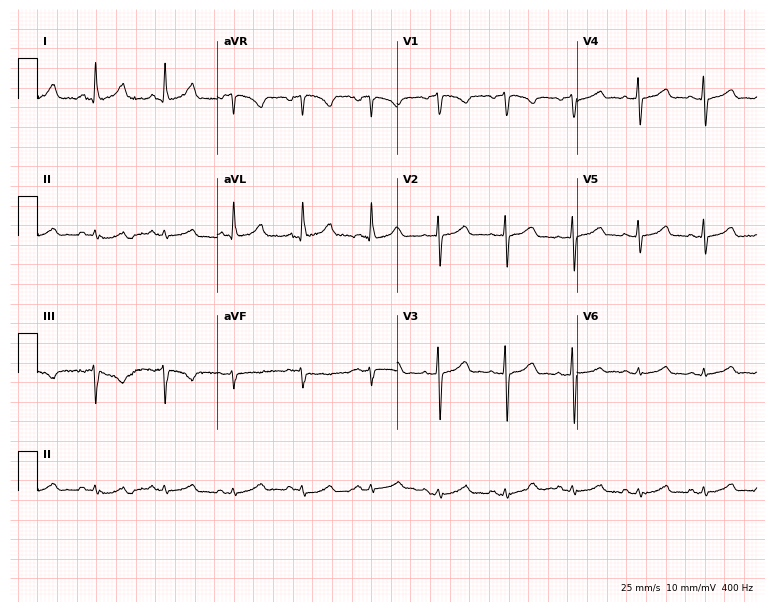
Resting 12-lead electrocardiogram. Patient: a woman, 61 years old. None of these six findings is recorded: first-degree AV block, right bundle branch block (RBBB), left bundle branch block (LBBB), sinus bradycardia, atrial fibrillation (AF), sinus tachycardia.